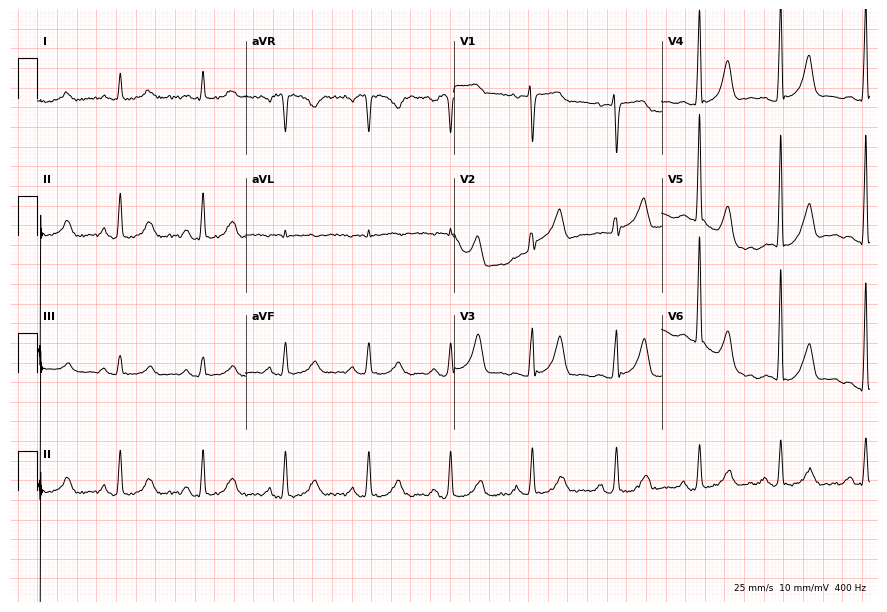
Standard 12-lead ECG recorded from a 69-year-old female patient (8.5-second recording at 400 Hz). Read as a normal ECG.